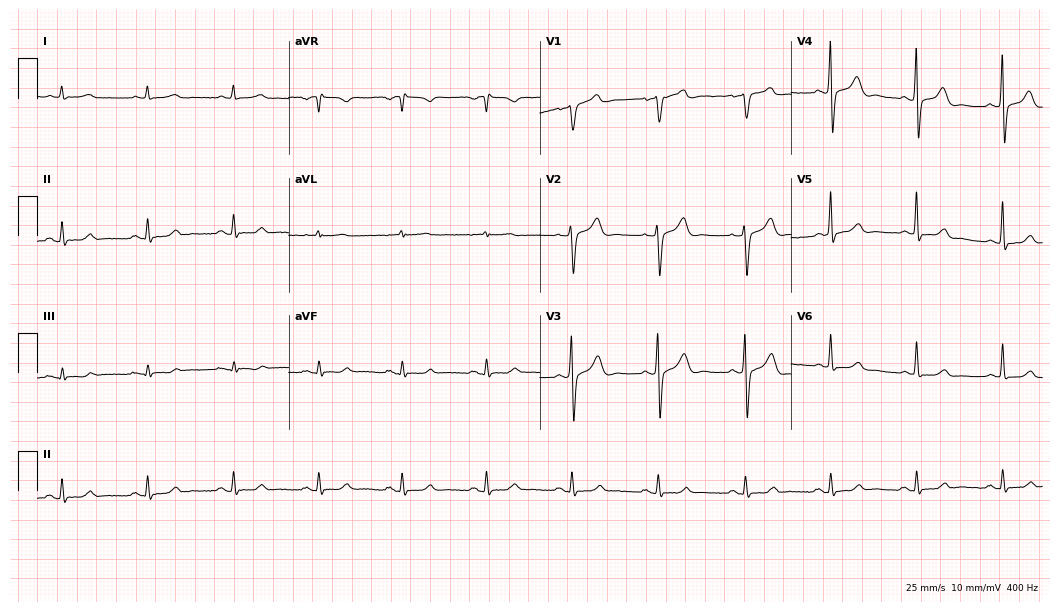
Standard 12-lead ECG recorded from a man, 63 years old. Read as a normal ECG.